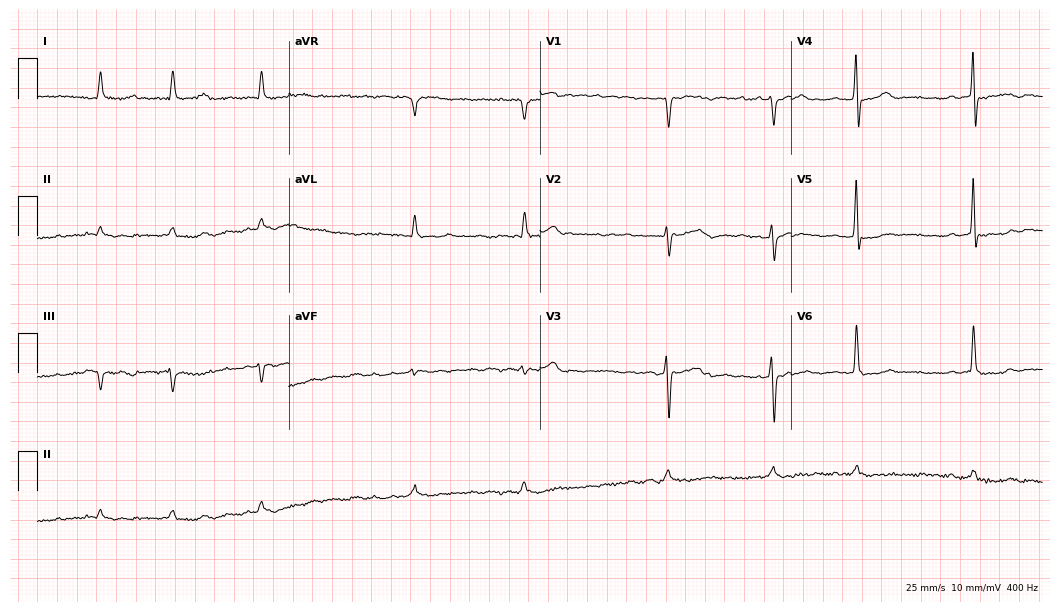
Resting 12-lead electrocardiogram. Patient: an 83-year-old male. The tracing shows atrial fibrillation.